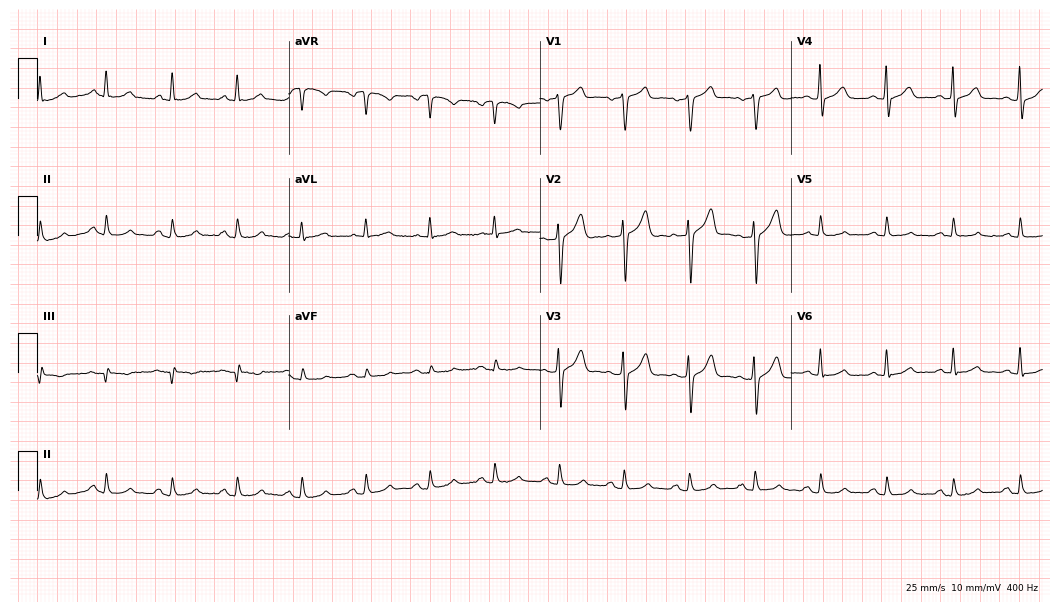
12-lead ECG from a 36-year-old male patient. Labelled as a normal ECG.